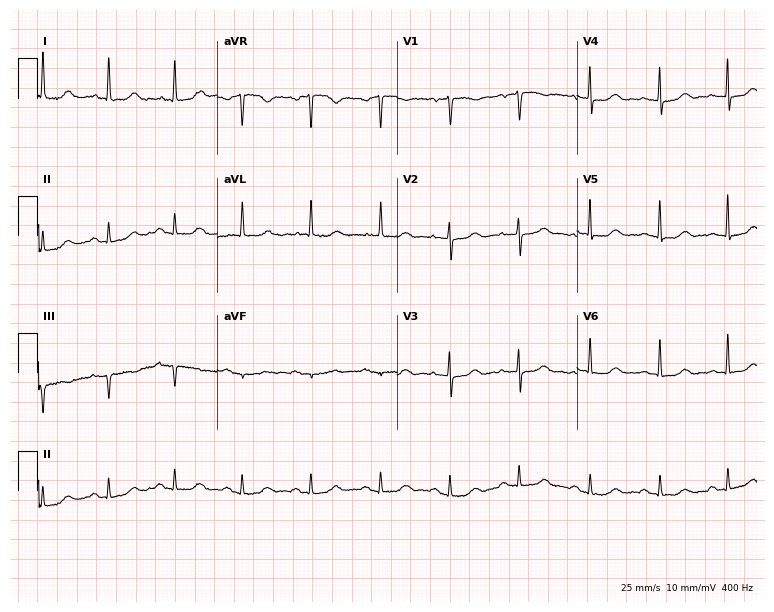
12-lead ECG from a female patient, 75 years old. No first-degree AV block, right bundle branch block, left bundle branch block, sinus bradycardia, atrial fibrillation or sinus tachycardia recorded for this tracing. Findings outside these six are not listed.